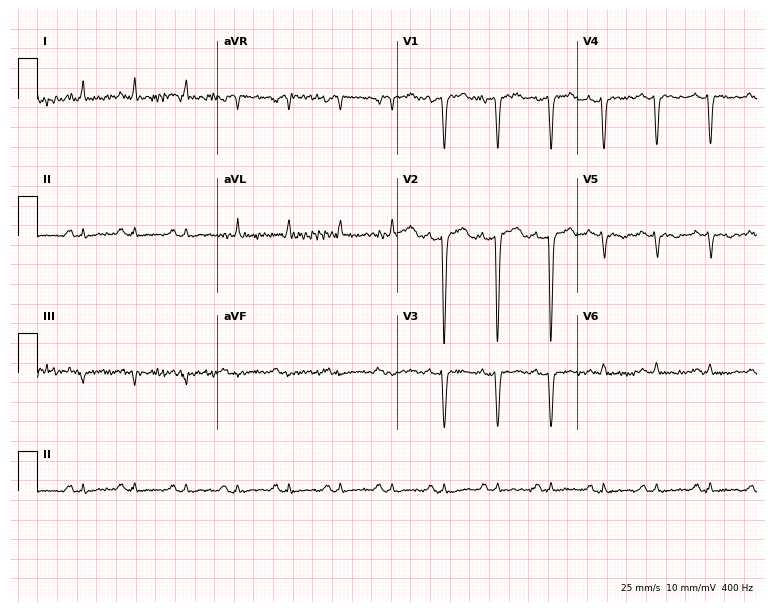
12-lead ECG (7.3-second recording at 400 Hz) from a 40-year-old male patient. Screened for six findings — first-degree AV block, right bundle branch block, left bundle branch block, sinus bradycardia, atrial fibrillation, sinus tachycardia — none is recorded. Only these six findings were labelled.